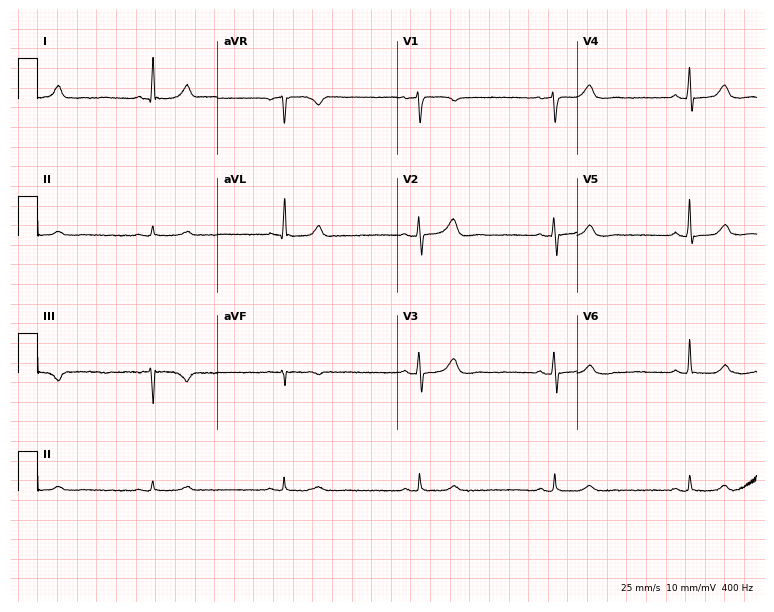
Electrocardiogram, a 60-year-old female patient. Interpretation includes sinus bradycardia (a sinus rate of 50 beats per minute or less).